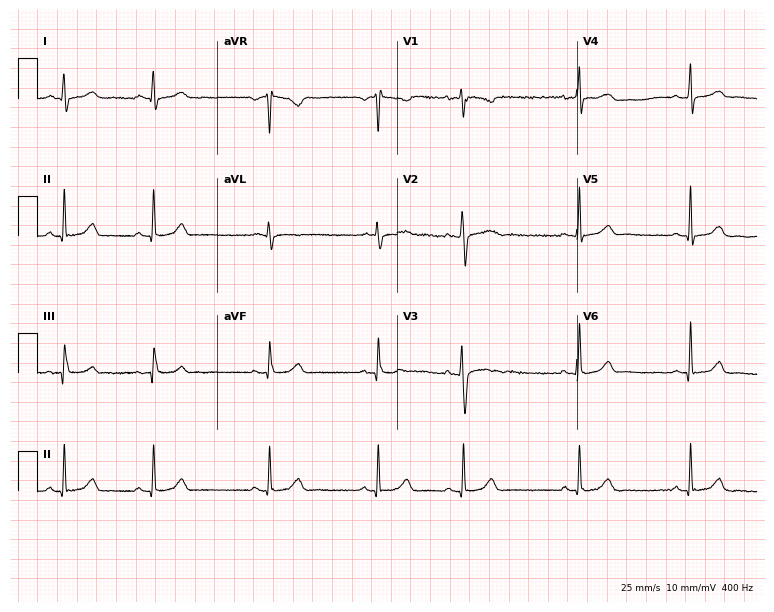
Standard 12-lead ECG recorded from a 20-year-old female patient (7.3-second recording at 400 Hz). None of these six findings is recorded: first-degree AV block, right bundle branch block (RBBB), left bundle branch block (LBBB), sinus bradycardia, atrial fibrillation (AF), sinus tachycardia.